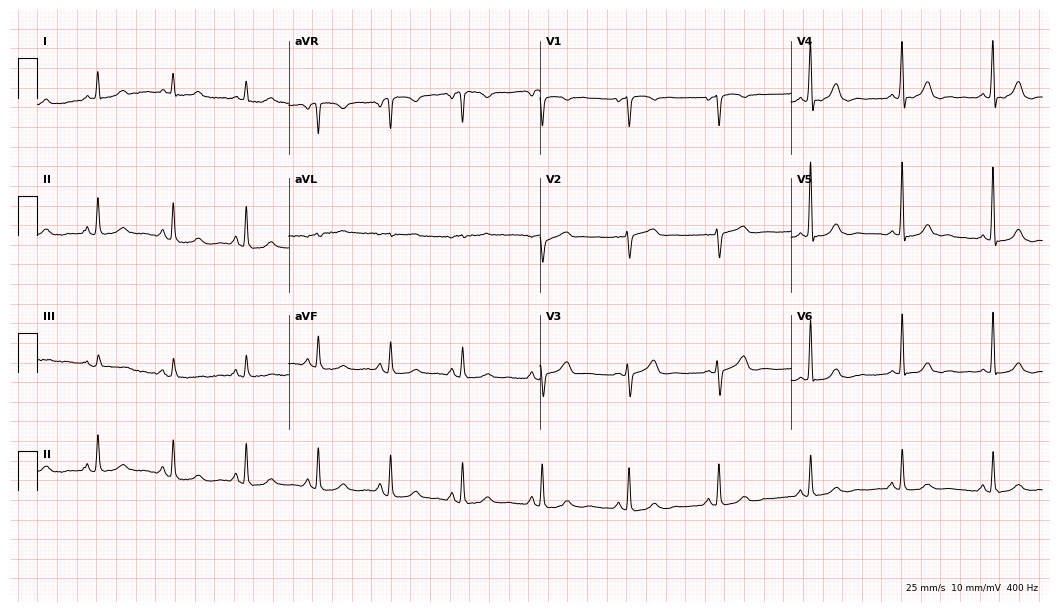
Resting 12-lead electrocardiogram. Patient: a woman, 56 years old. Read as a normal ECG.